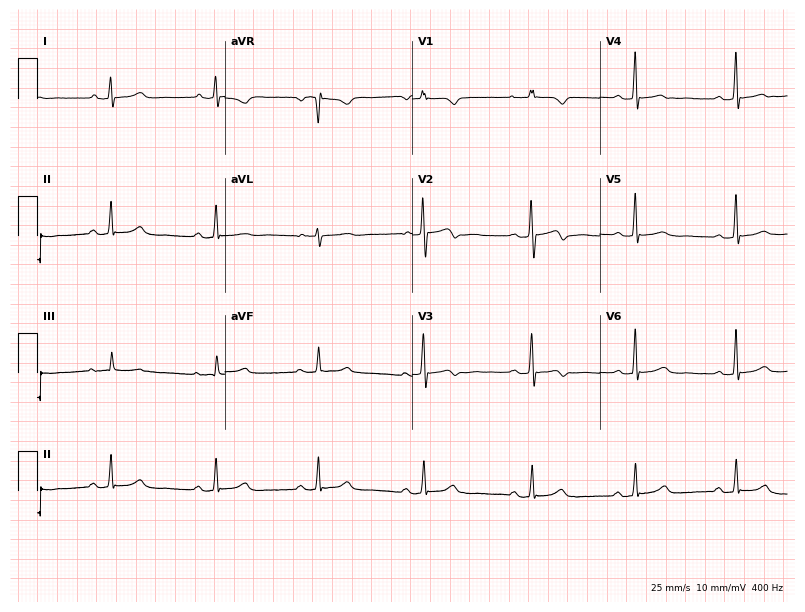
12-lead ECG from a woman, 52 years old. Screened for six findings — first-degree AV block, right bundle branch block, left bundle branch block, sinus bradycardia, atrial fibrillation, sinus tachycardia — none is recorded.